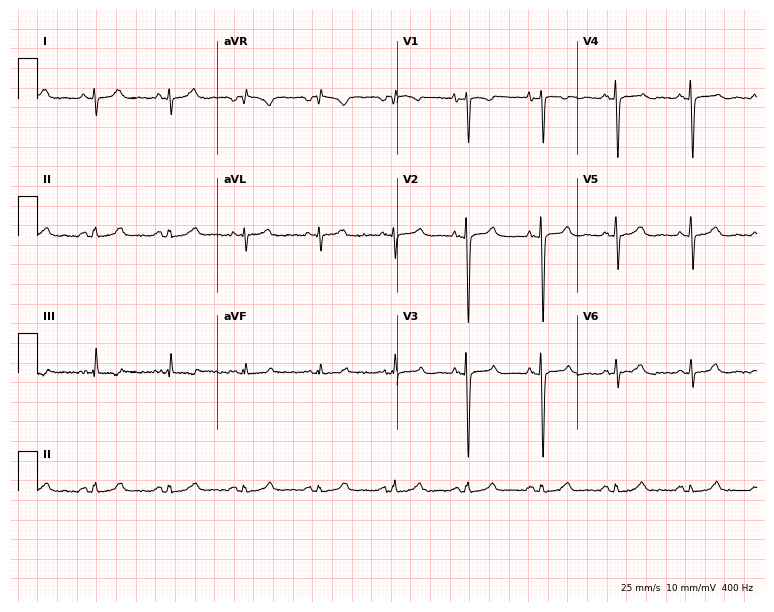
Resting 12-lead electrocardiogram. Patient: a 78-year-old female. None of these six findings is recorded: first-degree AV block, right bundle branch block, left bundle branch block, sinus bradycardia, atrial fibrillation, sinus tachycardia.